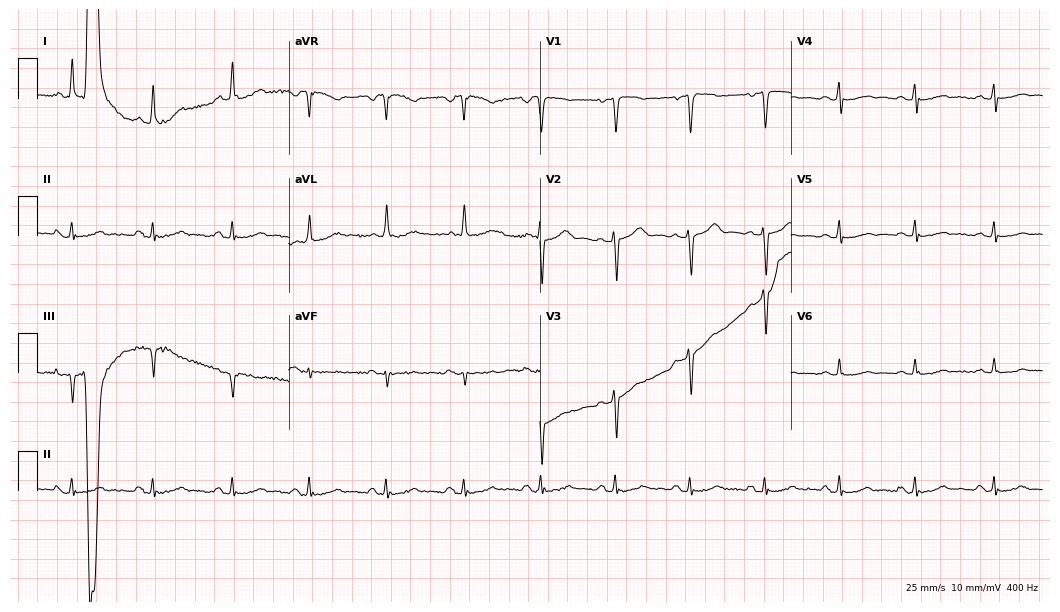
ECG — a woman, 48 years old. Screened for six findings — first-degree AV block, right bundle branch block (RBBB), left bundle branch block (LBBB), sinus bradycardia, atrial fibrillation (AF), sinus tachycardia — none is recorded. Only these six findings were labelled.